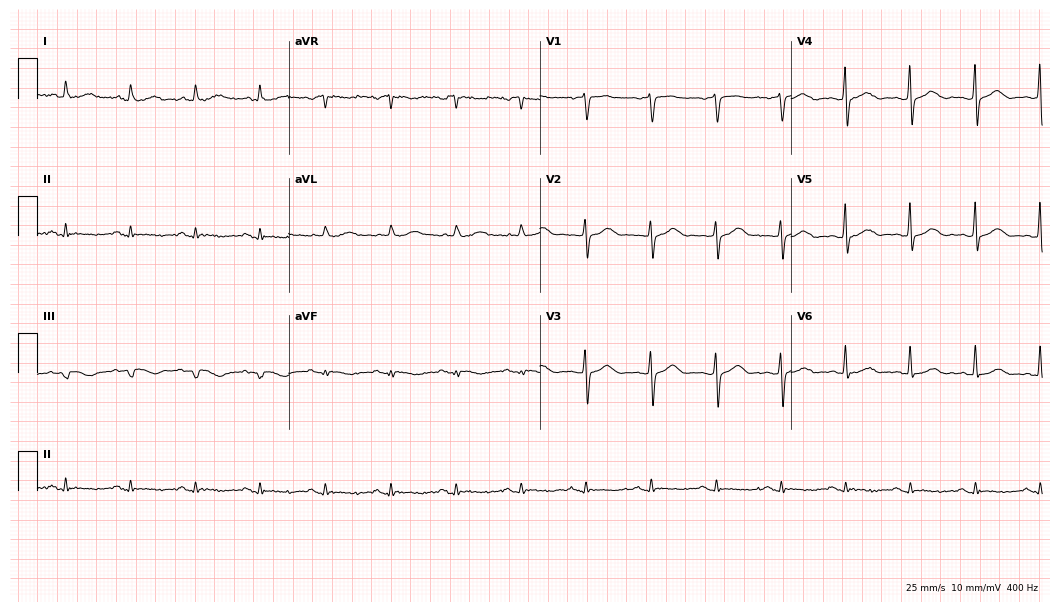
ECG (10.2-second recording at 400 Hz) — a male patient, 71 years old. Screened for six findings — first-degree AV block, right bundle branch block, left bundle branch block, sinus bradycardia, atrial fibrillation, sinus tachycardia — none is recorded.